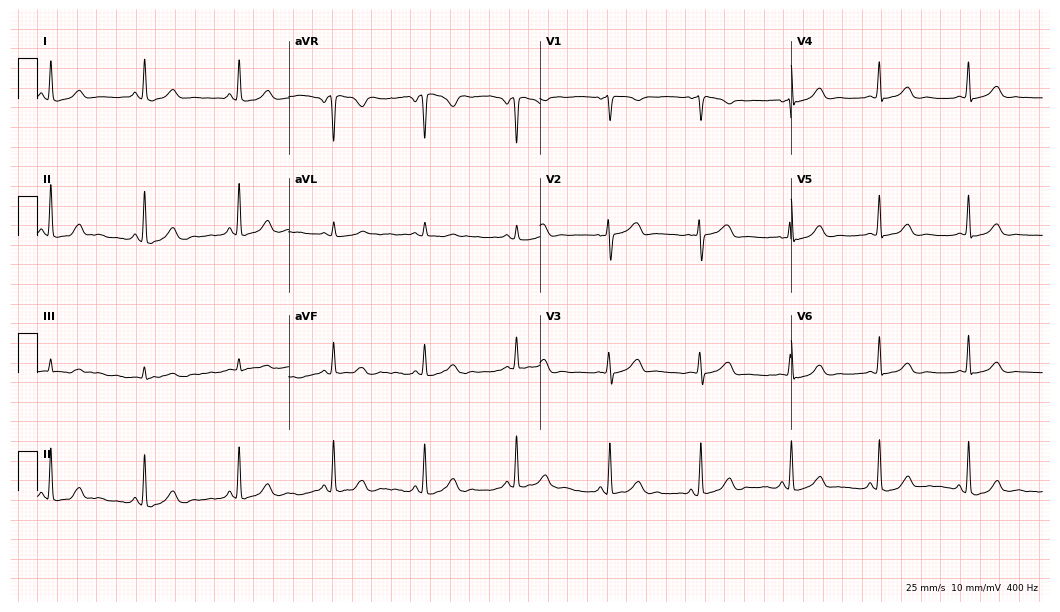
12-lead ECG from a 52-year-old woman. Labelled as a normal ECG.